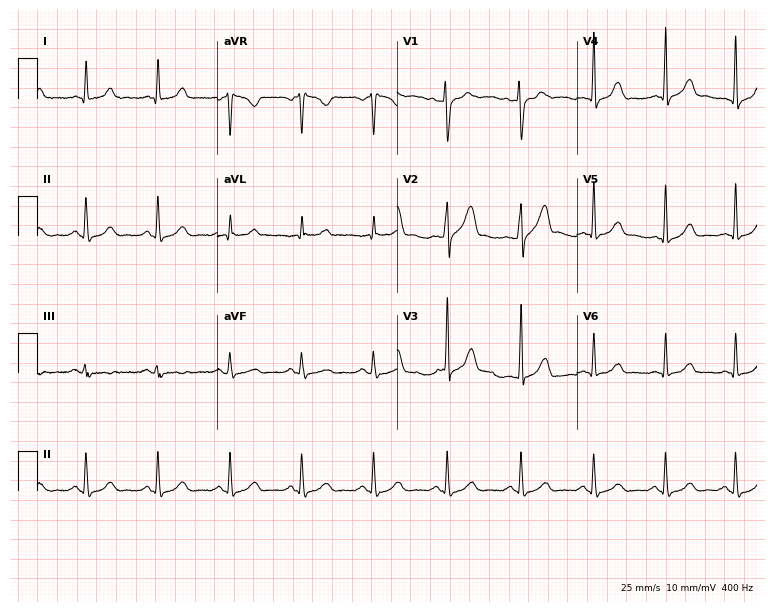
Standard 12-lead ECG recorded from a female patient, 47 years old. None of these six findings is recorded: first-degree AV block, right bundle branch block, left bundle branch block, sinus bradycardia, atrial fibrillation, sinus tachycardia. Only these six findings were labelled.